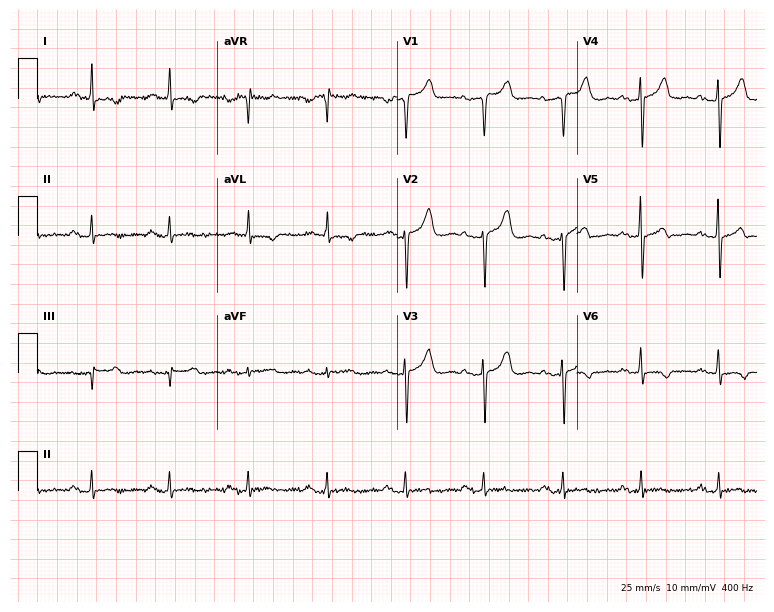
ECG (7.3-second recording at 400 Hz) — a 67-year-old female patient. Screened for six findings — first-degree AV block, right bundle branch block, left bundle branch block, sinus bradycardia, atrial fibrillation, sinus tachycardia — none is recorded.